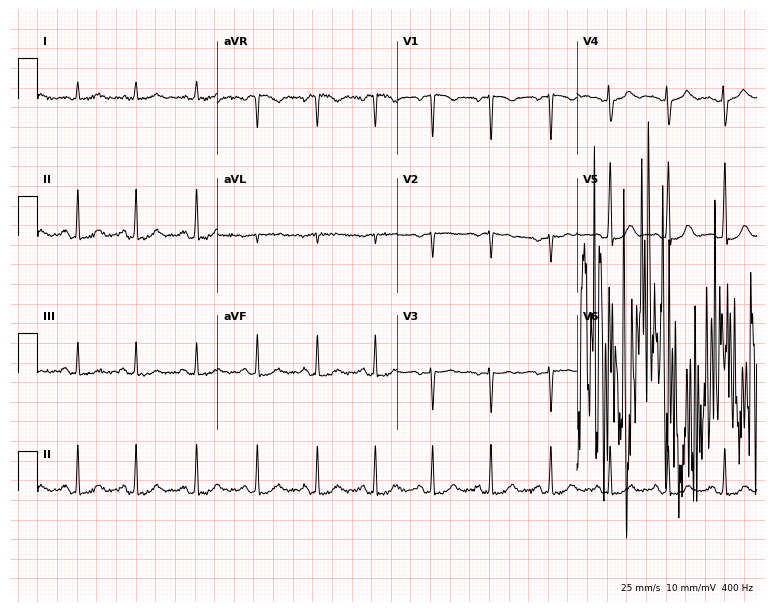
Resting 12-lead electrocardiogram (7.3-second recording at 400 Hz). Patient: a female, 38 years old. The tracing shows sinus tachycardia (a sinus rate of 100 beats per minute or more).